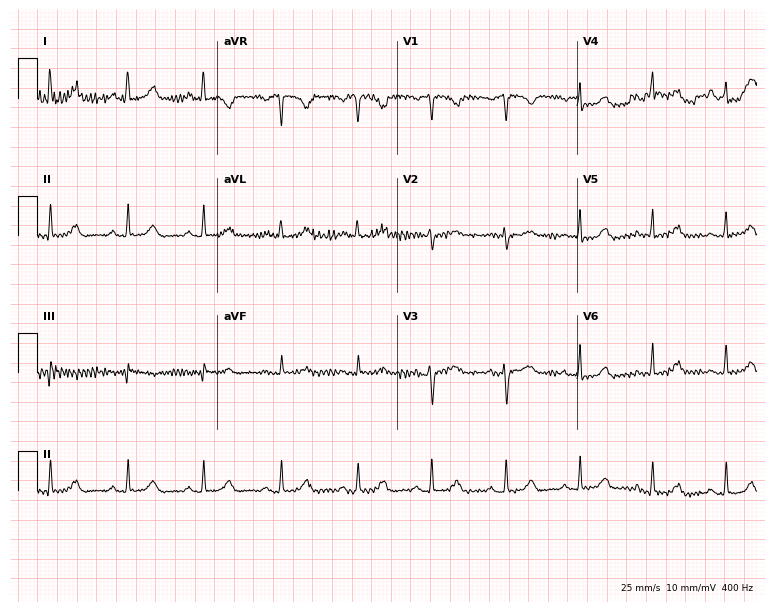
Standard 12-lead ECG recorded from a 39-year-old female patient (7.3-second recording at 400 Hz). Read as a normal ECG.